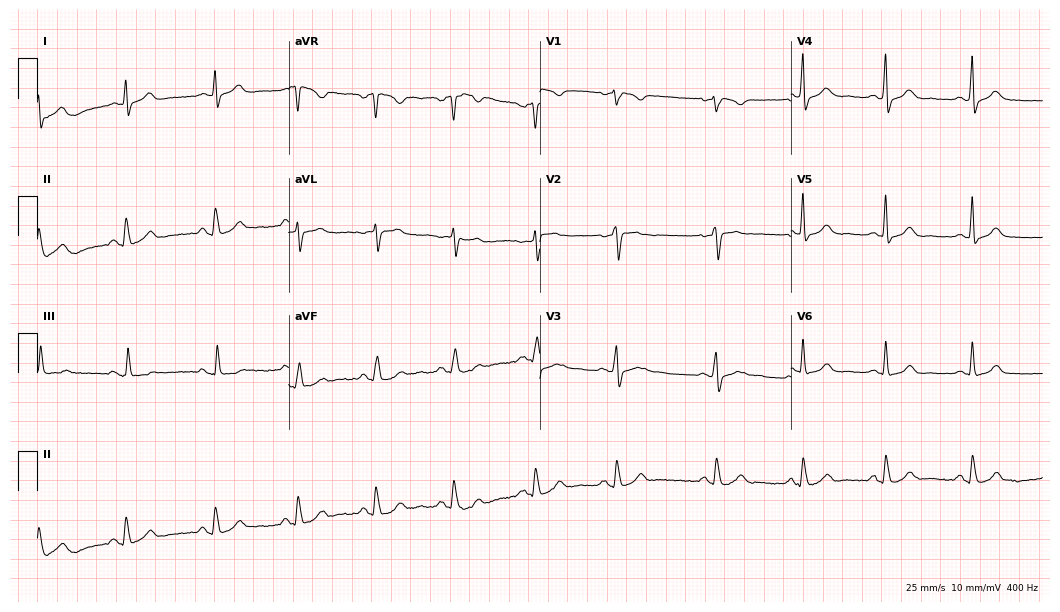
12-lead ECG from a 41-year-old female patient (10.2-second recording at 400 Hz). No first-degree AV block, right bundle branch block, left bundle branch block, sinus bradycardia, atrial fibrillation or sinus tachycardia recorded for this tracing. Only these six findings were labelled.